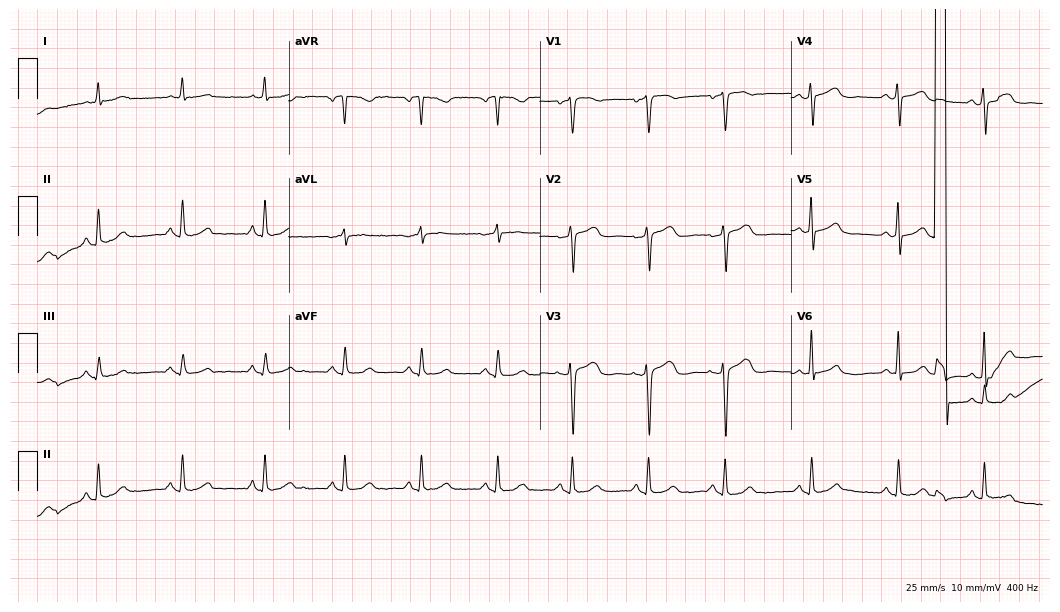
12-lead ECG (10.2-second recording at 400 Hz) from a female, 63 years old. Screened for six findings — first-degree AV block, right bundle branch block, left bundle branch block, sinus bradycardia, atrial fibrillation, sinus tachycardia — none is recorded. Other findings, if any, are not listed.